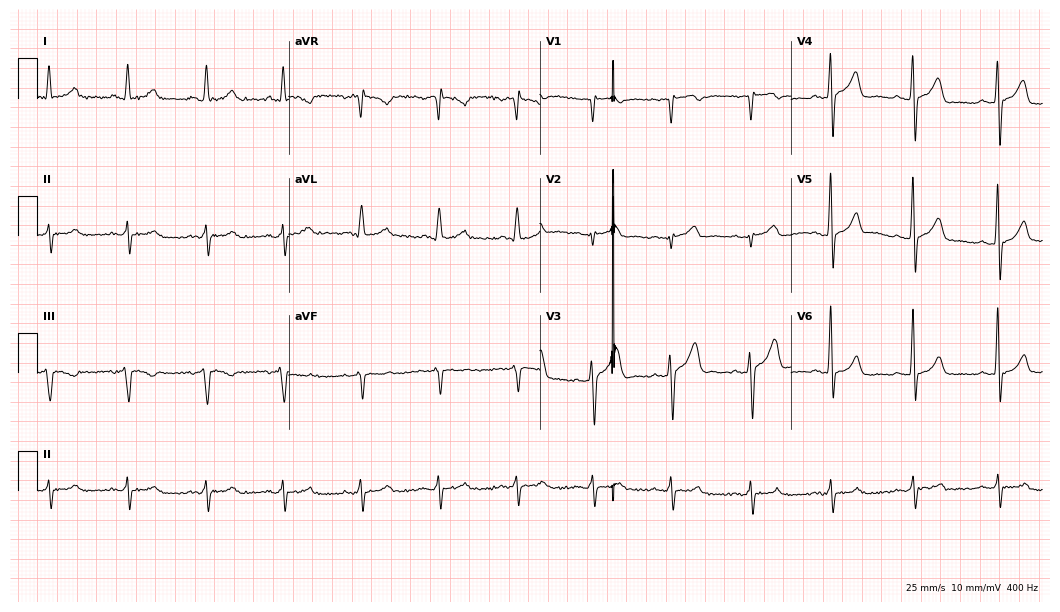
Electrocardiogram, a male, 52 years old. Overall reading on record: normal ECG.